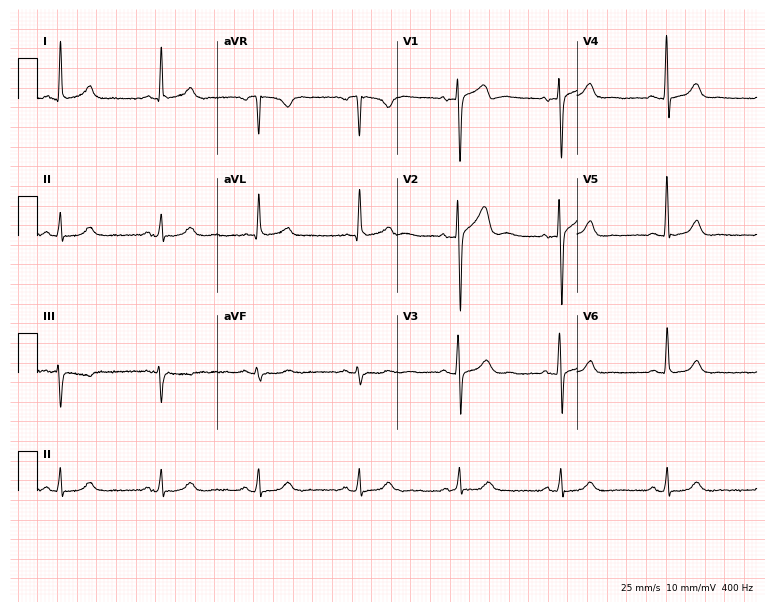
Standard 12-lead ECG recorded from a 71-year-old man (7.3-second recording at 400 Hz). None of these six findings is recorded: first-degree AV block, right bundle branch block (RBBB), left bundle branch block (LBBB), sinus bradycardia, atrial fibrillation (AF), sinus tachycardia. Other findings, if any, are not listed.